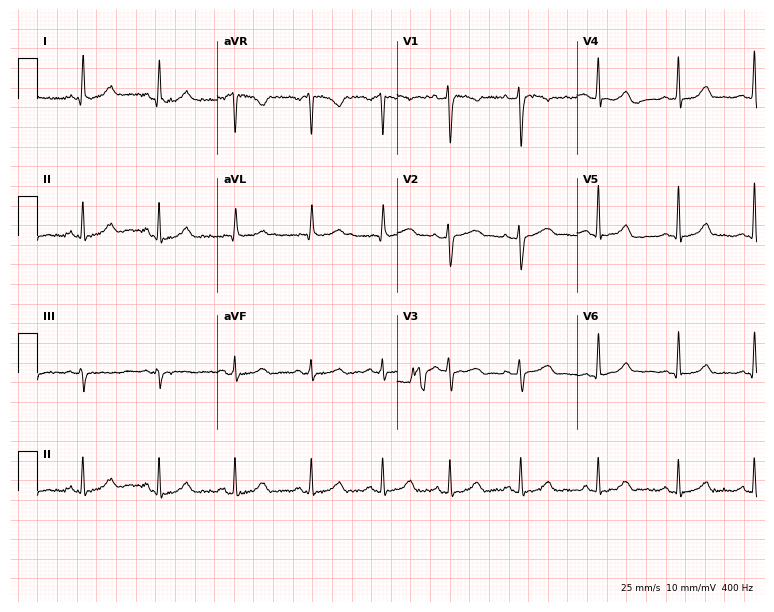
ECG (7.3-second recording at 400 Hz) — a woman, 27 years old. Labelled as a normal ECG.